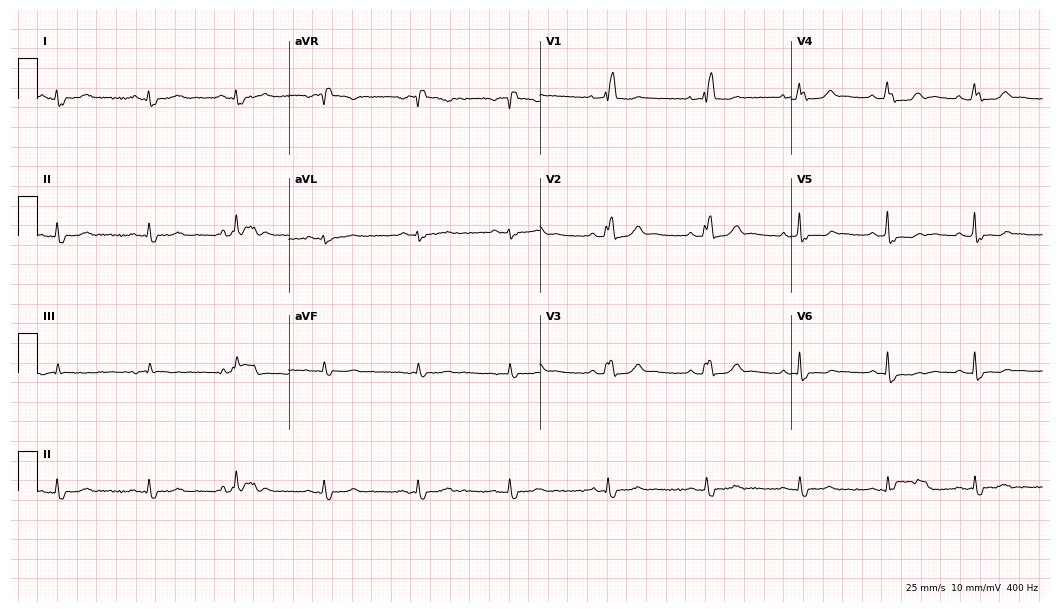
Electrocardiogram (10.2-second recording at 400 Hz), a woman, 56 years old. Interpretation includes right bundle branch block (RBBB).